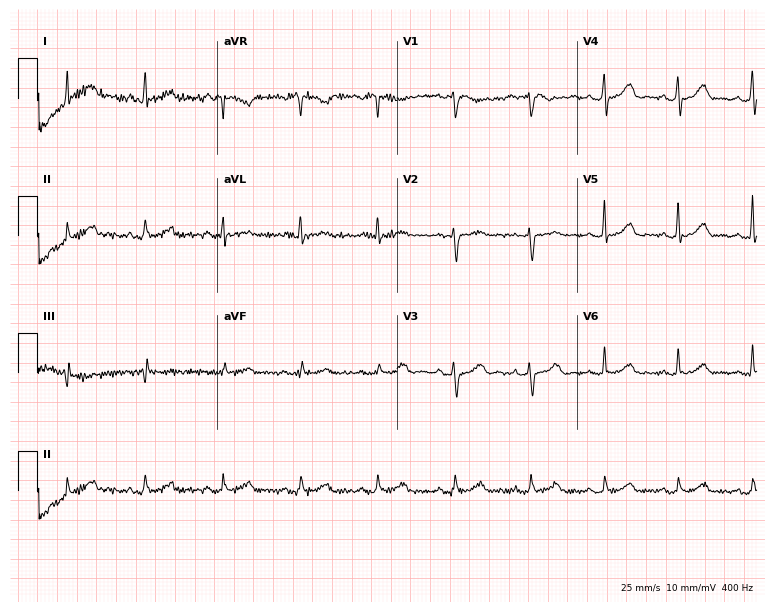
12-lead ECG from a 62-year-old female. Recorded interpretation: within normal limits.